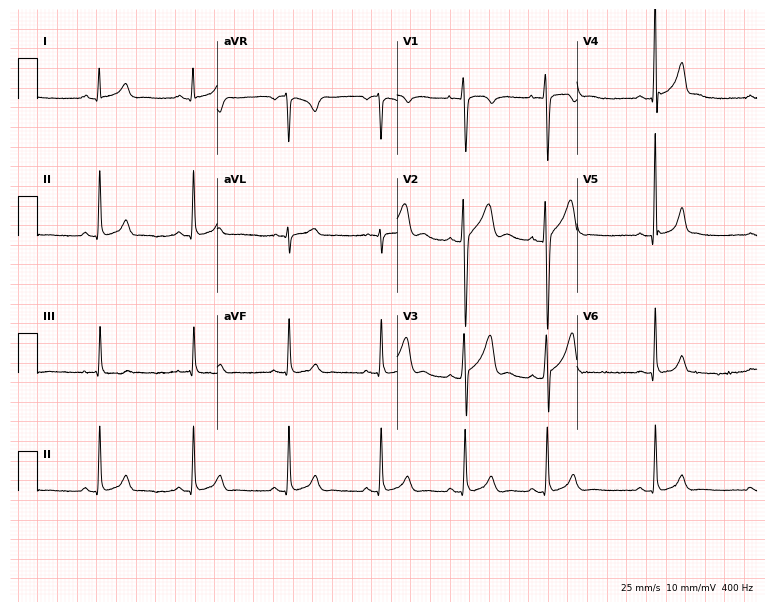
12-lead ECG from a man, 19 years old (7.3-second recording at 400 Hz). No first-degree AV block, right bundle branch block, left bundle branch block, sinus bradycardia, atrial fibrillation or sinus tachycardia recorded for this tracing. Other findings, if any, are not listed.